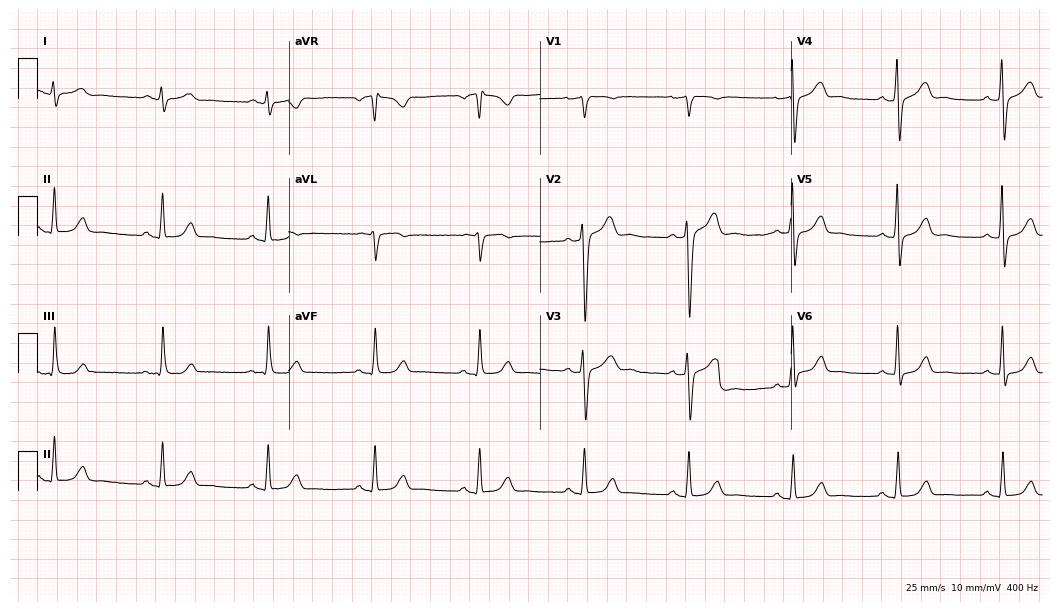
12-lead ECG from a man, 47 years old. Recorded interpretation: within normal limits.